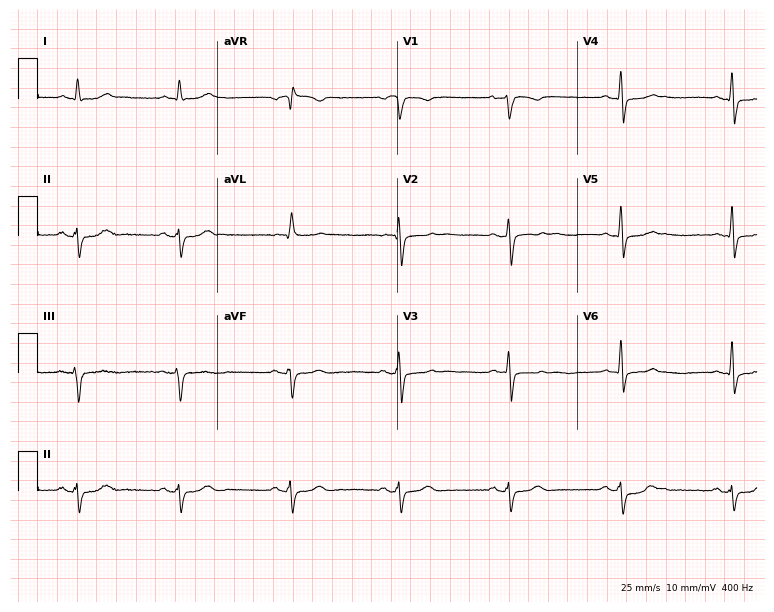
ECG — a 65-year-old man. Screened for six findings — first-degree AV block, right bundle branch block, left bundle branch block, sinus bradycardia, atrial fibrillation, sinus tachycardia — none is recorded.